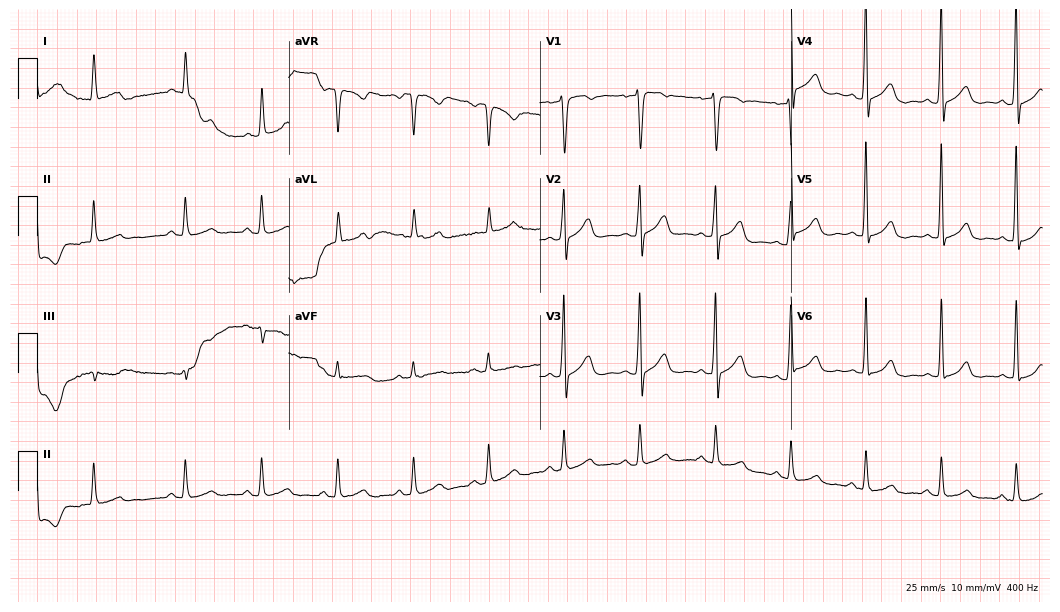
Electrocardiogram (10.2-second recording at 400 Hz), a male, 73 years old. Of the six screened findings (first-degree AV block, right bundle branch block, left bundle branch block, sinus bradycardia, atrial fibrillation, sinus tachycardia), none is recorded.